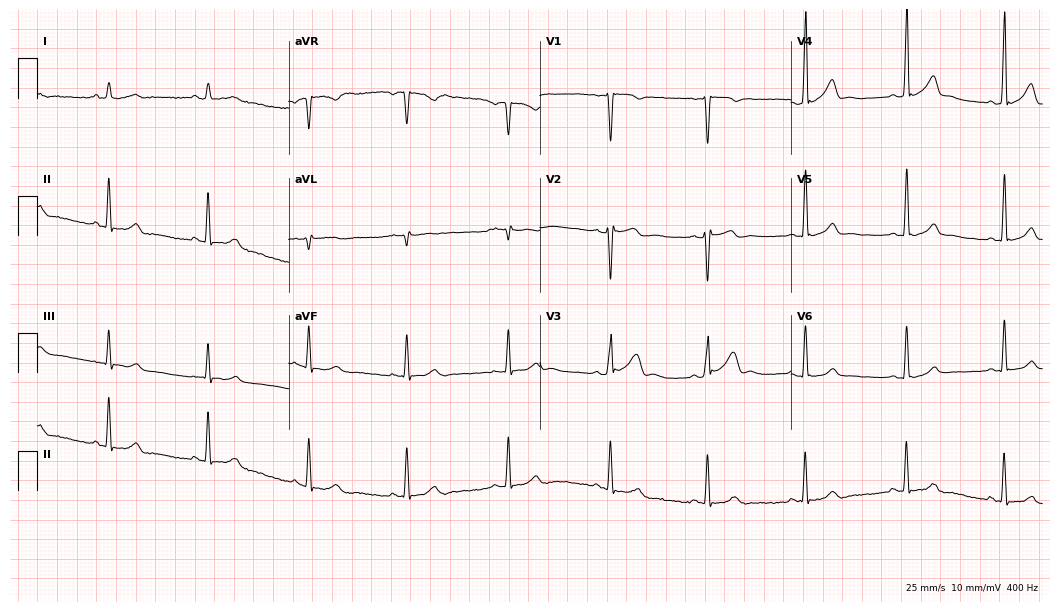
Resting 12-lead electrocardiogram. Patient: a male, 31 years old. None of these six findings is recorded: first-degree AV block, right bundle branch block (RBBB), left bundle branch block (LBBB), sinus bradycardia, atrial fibrillation (AF), sinus tachycardia.